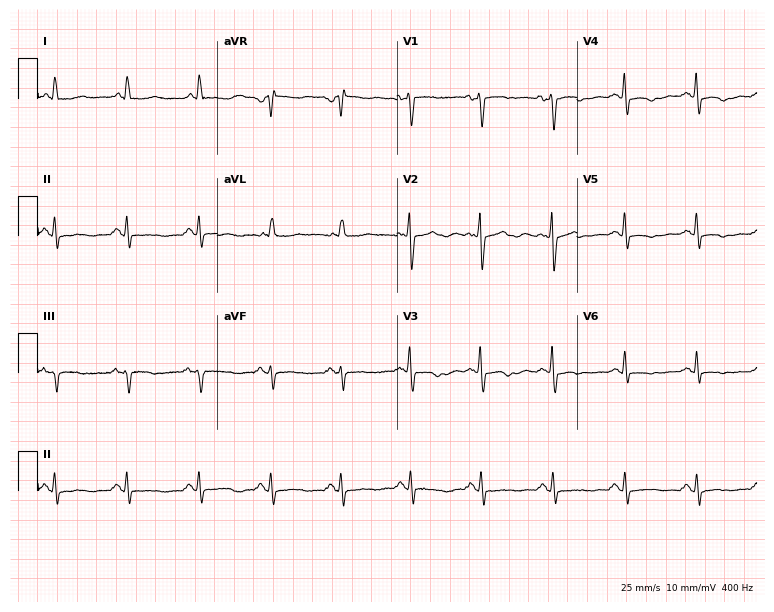
12-lead ECG from a female patient, 73 years old. No first-degree AV block, right bundle branch block (RBBB), left bundle branch block (LBBB), sinus bradycardia, atrial fibrillation (AF) or sinus tachycardia recorded for this tracing. Other findings, if any, are not listed.